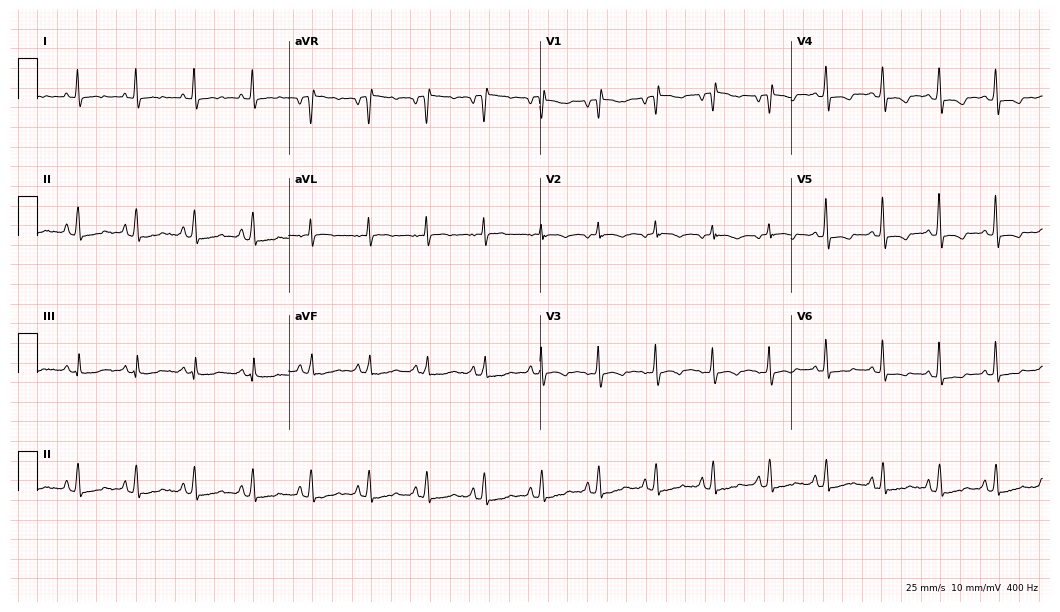
12-lead ECG from a woman, 63 years old. Findings include sinus tachycardia (a sinus rate of 100 beats per minute or more).